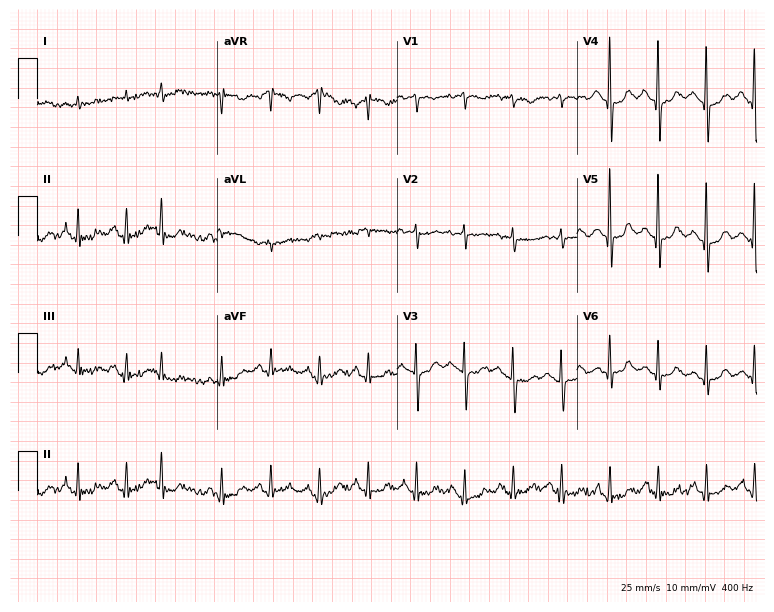
Electrocardiogram (7.3-second recording at 400 Hz), a 58-year-old female. Interpretation includes sinus tachycardia (a sinus rate of 100 beats per minute or more).